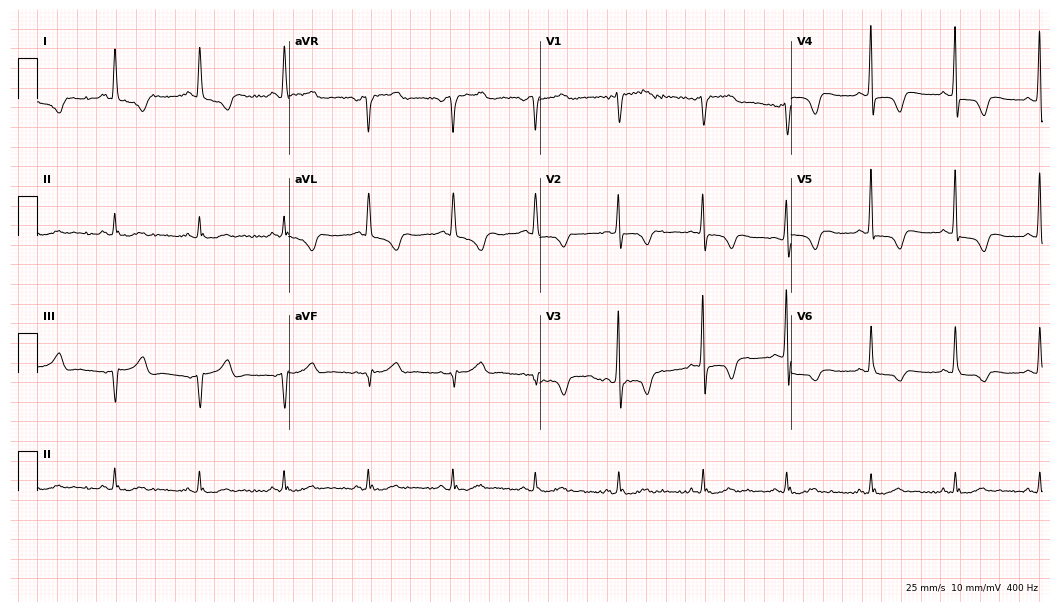
12-lead ECG (10.2-second recording at 400 Hz) from a woman, 71 years old. Screened for six findings — first-degree AV block, right bundle branch block, left bundle branch block, sinus bradycardia, atrial fibrillation, sinus tachycardia — none is recorded. Only these six findings were labelled.